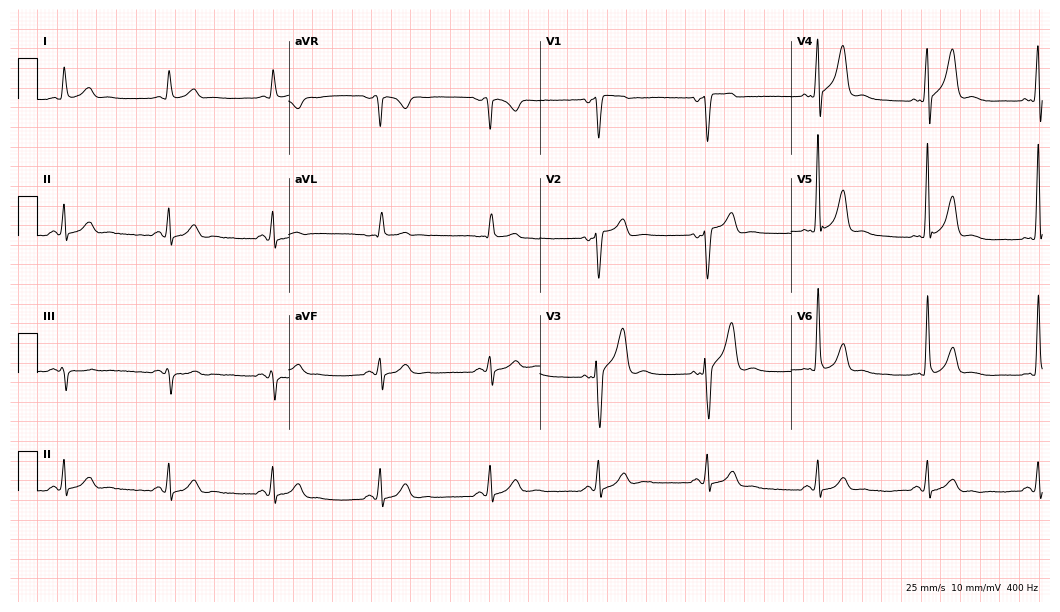
Standard 12-lead ECG recorded from a male, 65 years old. Read as a normal ECG.